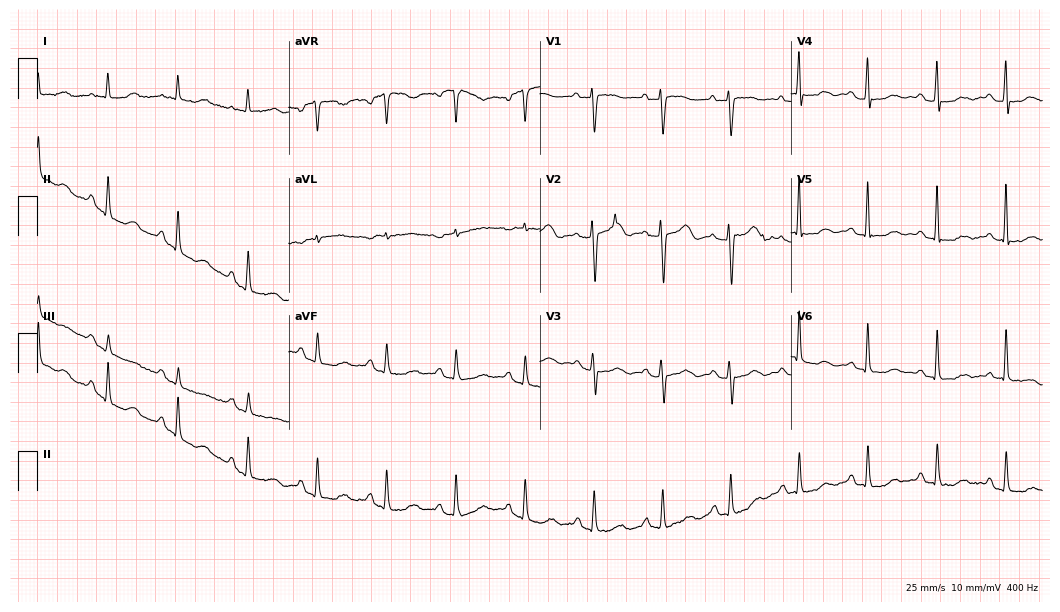
ECG — a female, 76 years old. Screened for six findings — first-degree AV block, right bundle branch block, left bundle branch block, sinus bradycardia, atrial fibrillation, sinus tachycardia — none is recorded.